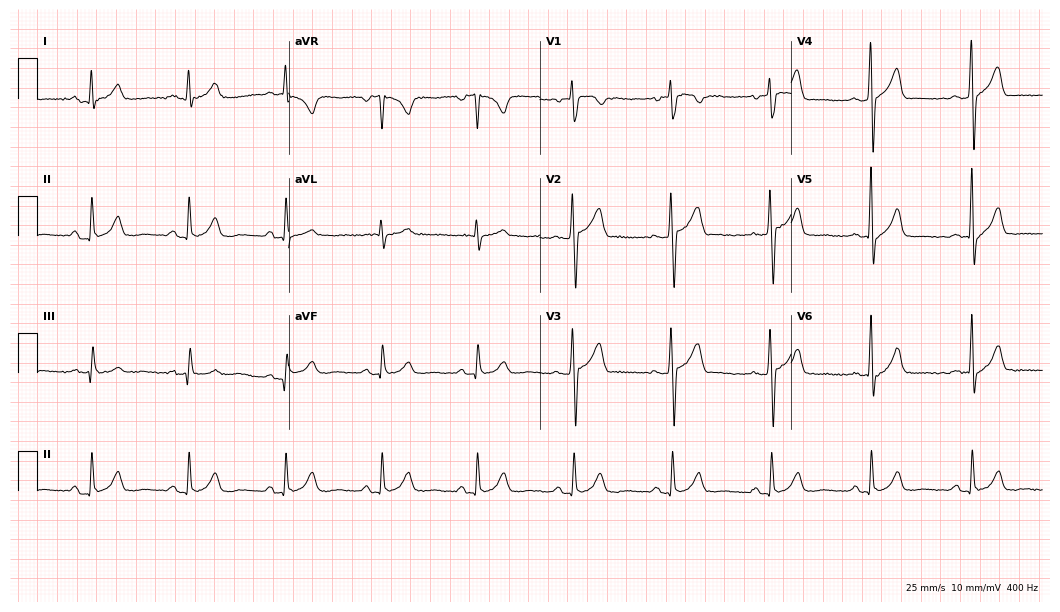
Resting 12-lead electrocardiogram. Patient: a man, 40 years old. Read as a normal ECG.